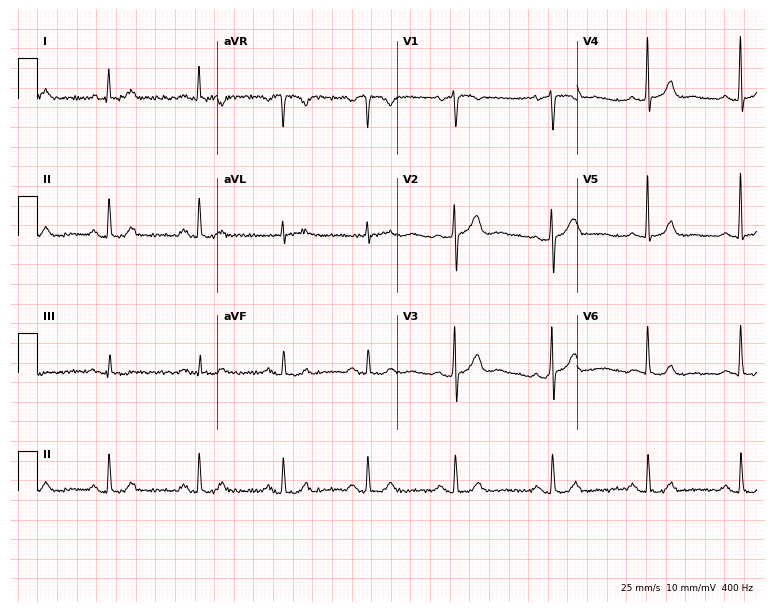
Electrocardiogram (7.3-second recording at 400 Hz), a male, 67 years old. Overall reading on record: normal ECG.